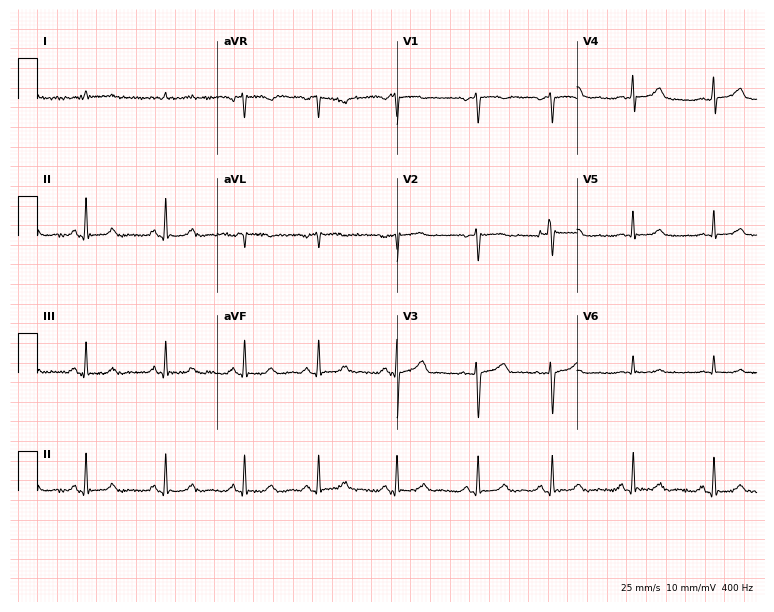
12-lead ECG from an 82-year-old male. No first-degree AV block, right bundle branch block, left bundle branch block, sinus bradycardia, atrial fibrillation or sinus tachycardia recorded for this tracing.